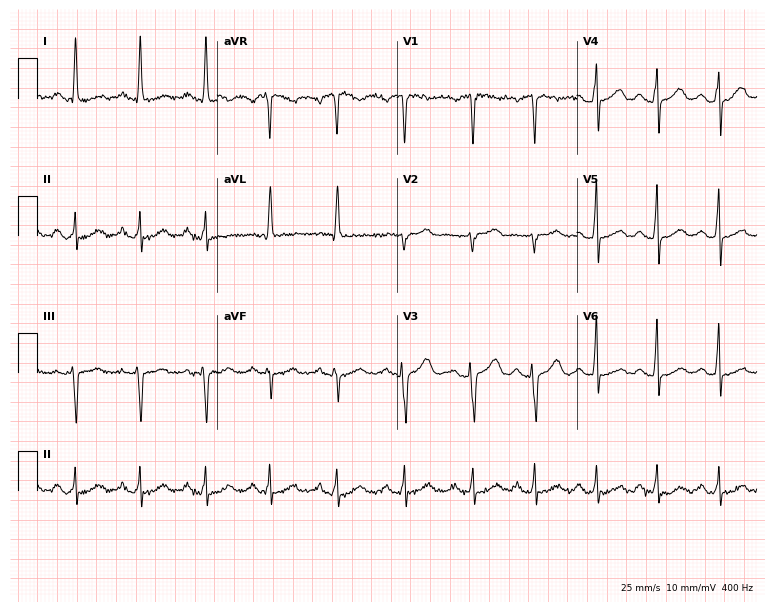
Standard 12-lead ECG recorded from a 52-year-old female patient. None of these six findings is recorded: first-degree AV block, right bundle branch block, left bundle branch block, sinus bradycardia, atrial fibrillation, sinus tachycardia.